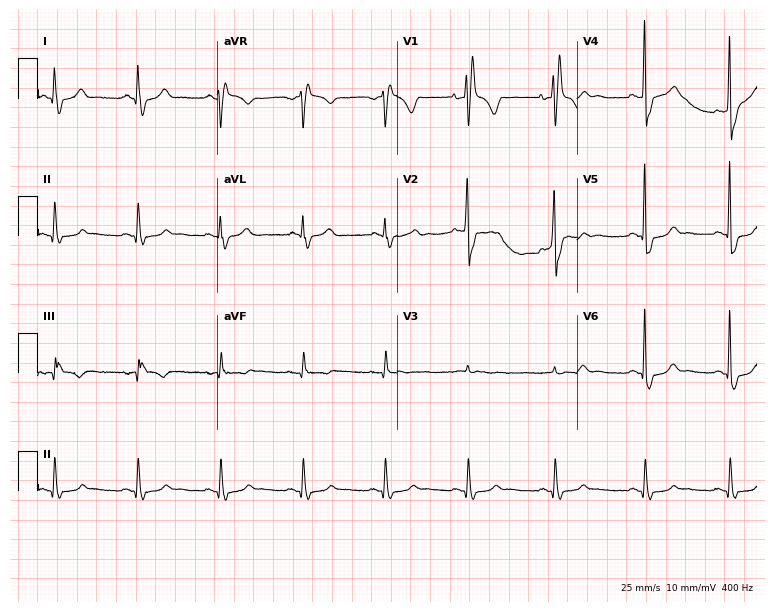
Electrocardiogram, a man, 40 years old. Of the six screened findings (first-degree AV block, right bundle branch block, left bundle branch block, sinus bradycardia, atrial fibrillation, sinus tachycardia), none is recorded. Other findings, if any, are not listed.